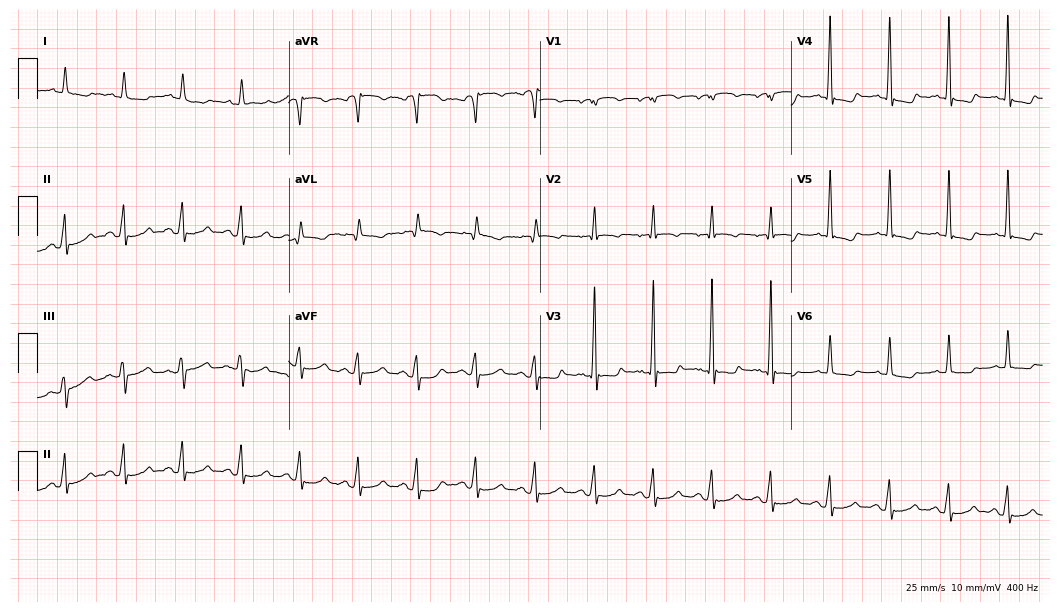
Standard 12-lead ECG recorded from a man, 78 years old. The tracing shows sinus tachycardia (a sinus rate of 100 beats per minute or more).